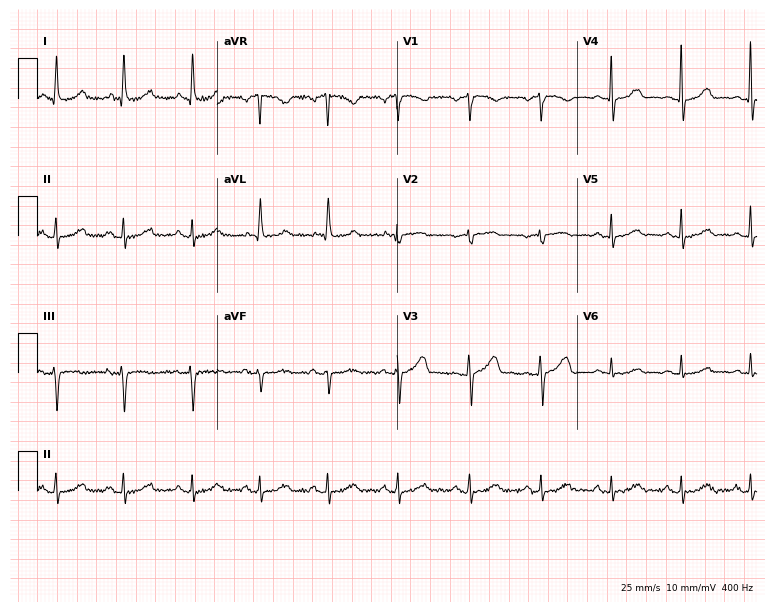
Electrocardiogram (7.3-second recording at 400 Hz), a man, 74 years old. Overall reading on record: normal ECG.